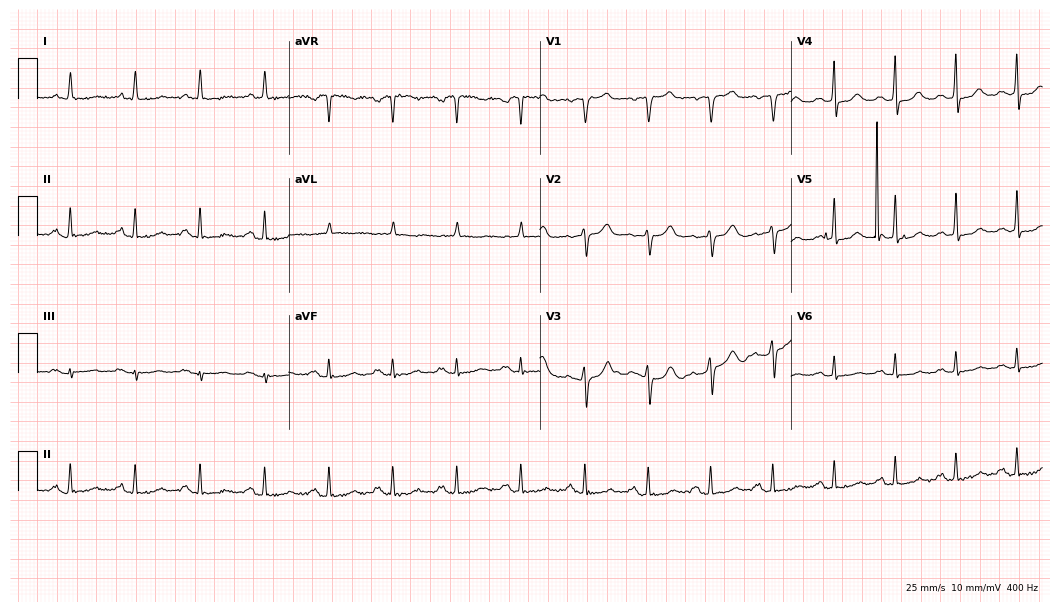
Standard 12-lead ECG recorded from a 55-year-old female patient. Read as a normal ECG.